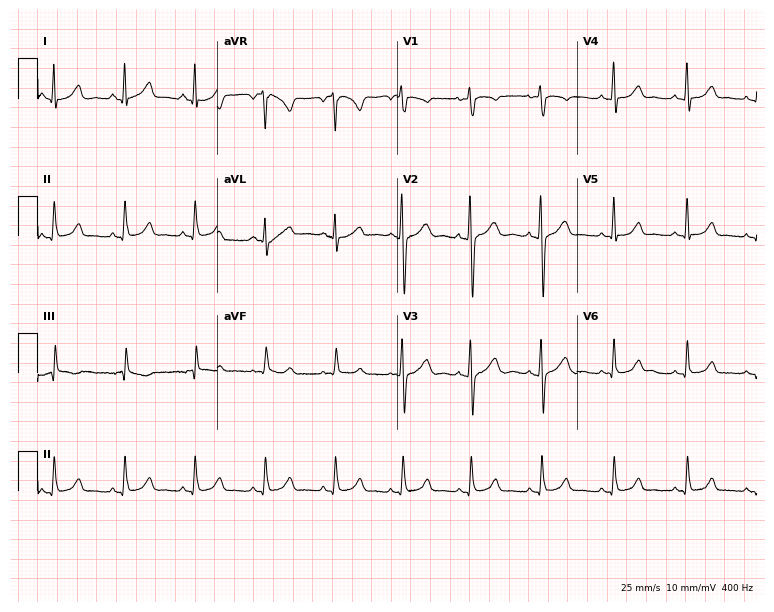
Resting 12-lead electrocardiogram (7.3-second recording at 400 Hz). Patient: a 44-year-old woman. Read as a normal ECG.